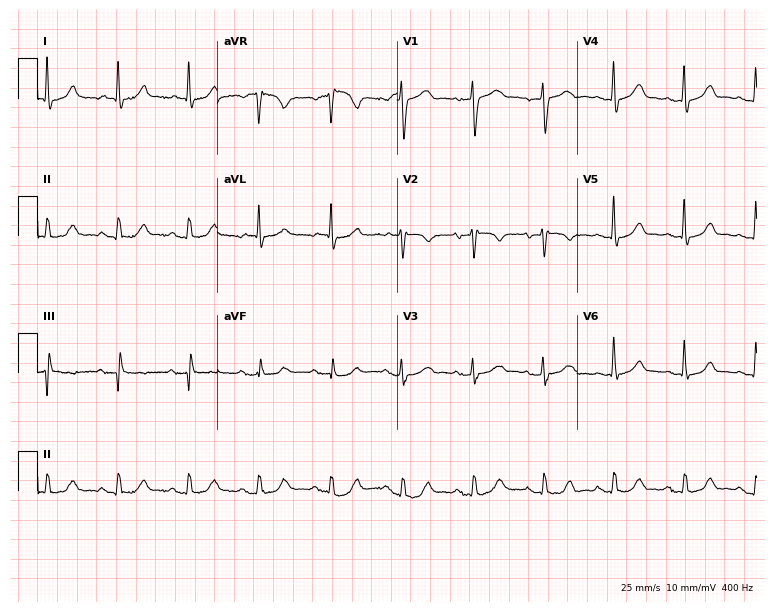
Standard 12-lead ECG recorded from a female patient, 81 years old. Read as a normal ECG.